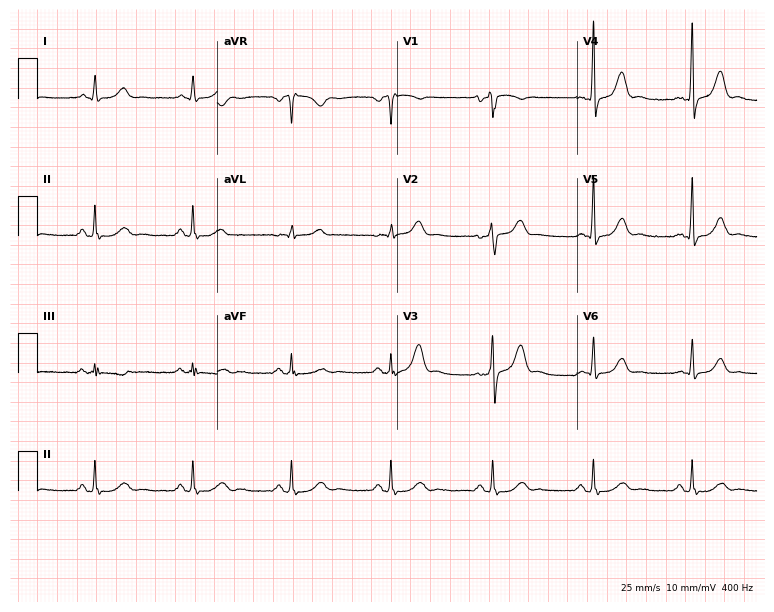
12-lead ECG from a male, 57 years old. Screened for six findings — first-degree AV block, right bundle branch block (RBBB), left bundle branch block (LBBB), sinus bradycardia, atrial fibrillation (AF), sinus tachycardia — none is recorded. Findings outside these six are not listed.